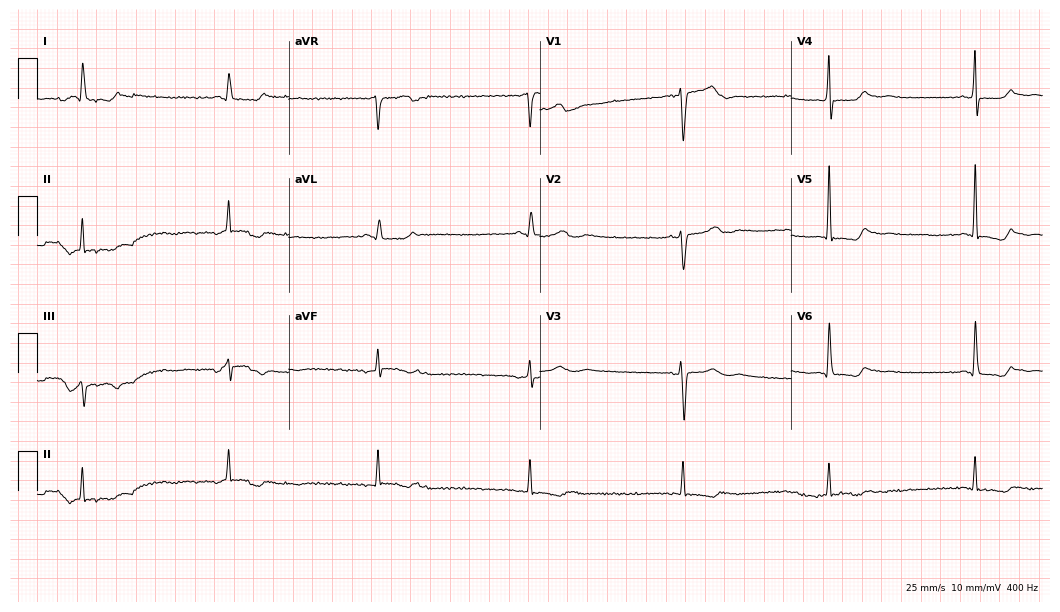
Electrocardiogram, a male, 49 years old. Of the six screened findings (first-degree AV block, right bundle branch block (RBBB), left bundle branch block (LBBB), sinus bradycardia, atrial fibrillation (AF), sinus tachycardia), none is recorded.